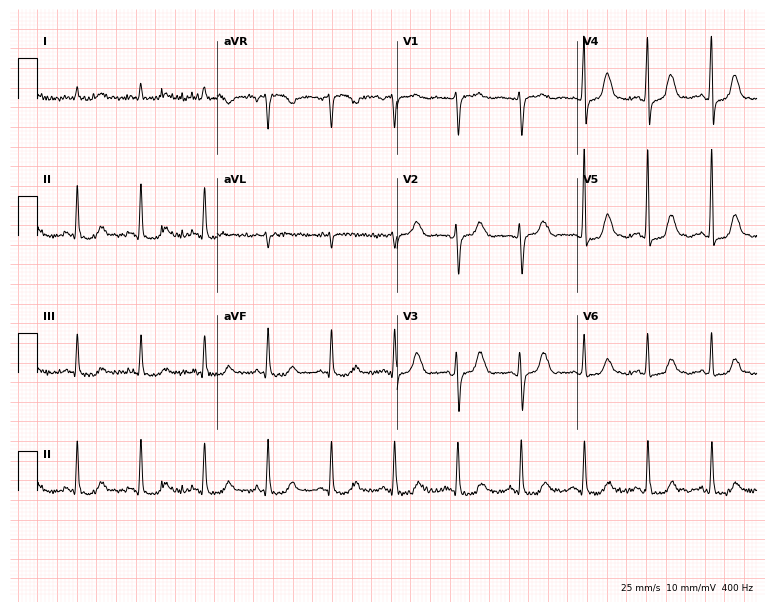
Standard 12-lead ECG recorded from a 78-year-old female. Read as a normal ECG.